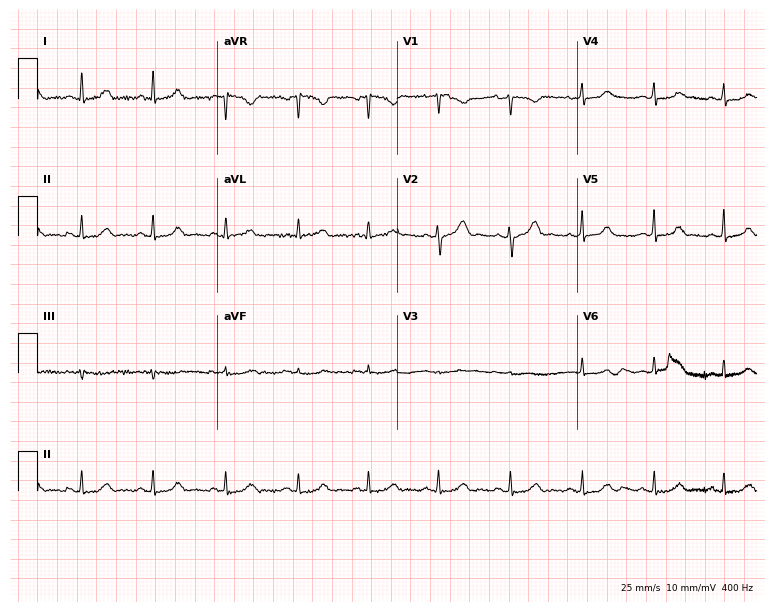
Standard 12-lead ECG recorded from a 21-year-old female (7.3-second recording at 400 Hz). None of these six findings is recorded: first-degree AV block, right bundle branch block (RBBB), left bundle branch block (LBBB), sinus bradycardia, atrial fibrillation (AF), sinus tachycardia.